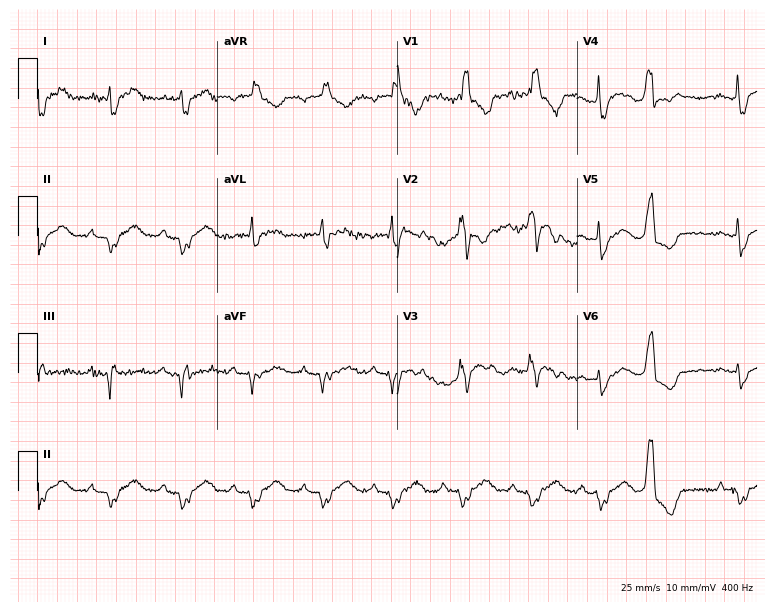
Electrocardiogram (7.3-second recording at 400 Hz), a male, 28 years old. Interpretation includes right bundle branch block.